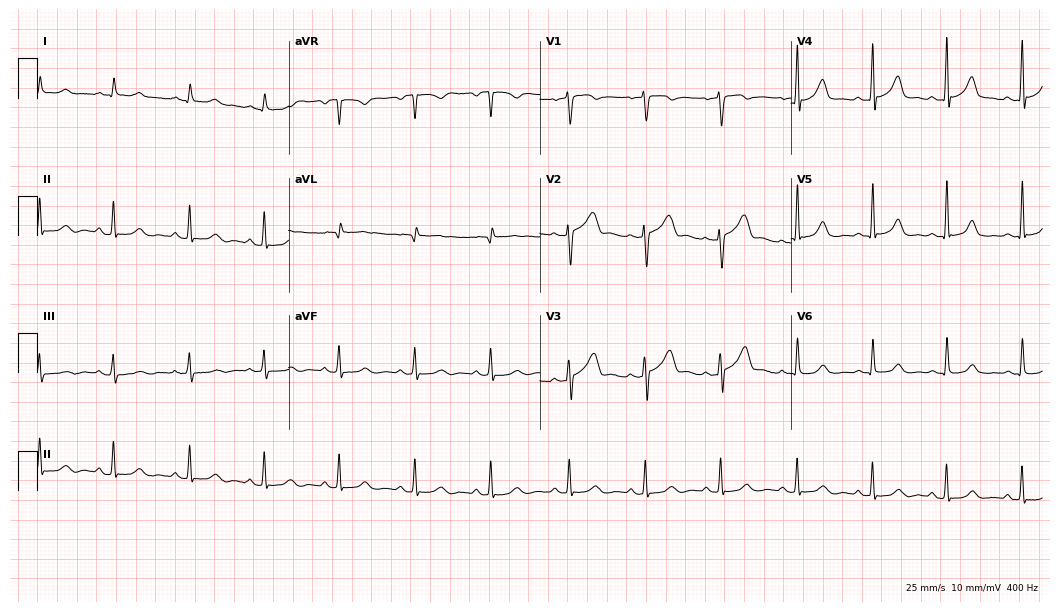
12-lead ECG from a 49-year-old female (10.2-second recording at 400 Hz). Recorded interpretation: within normal limits.